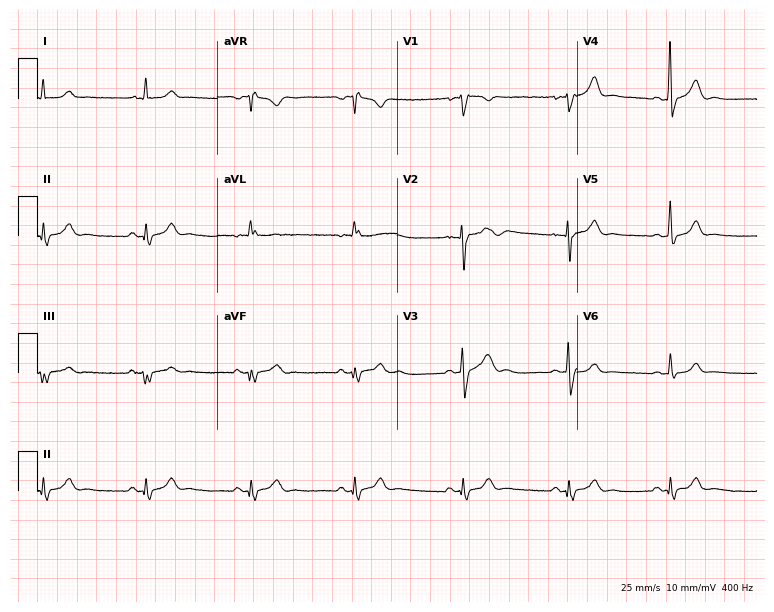
Standard 12-lead ECG recorded from a male patient, 31 years old. Read as a normal ECG.